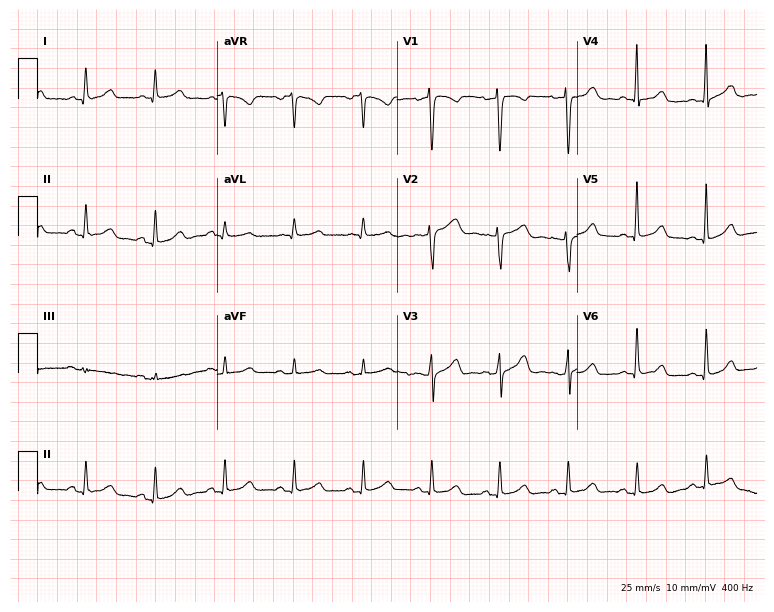
12-lead ECG from a 53-year-old woman (7.3-second recording at 400 Hz). Recorded interpretation: within normal limits.